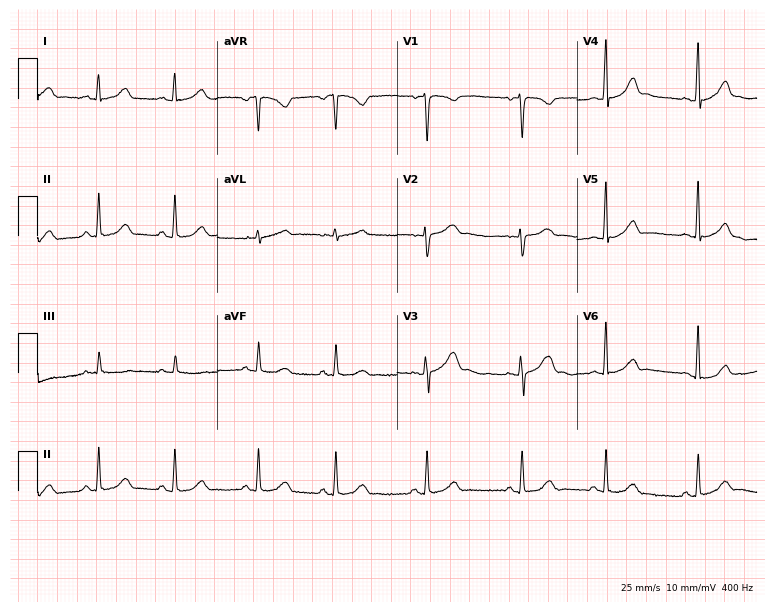
Electrocardiogram, a female patient, 22 years old. Overall reading on record: normal ECG.